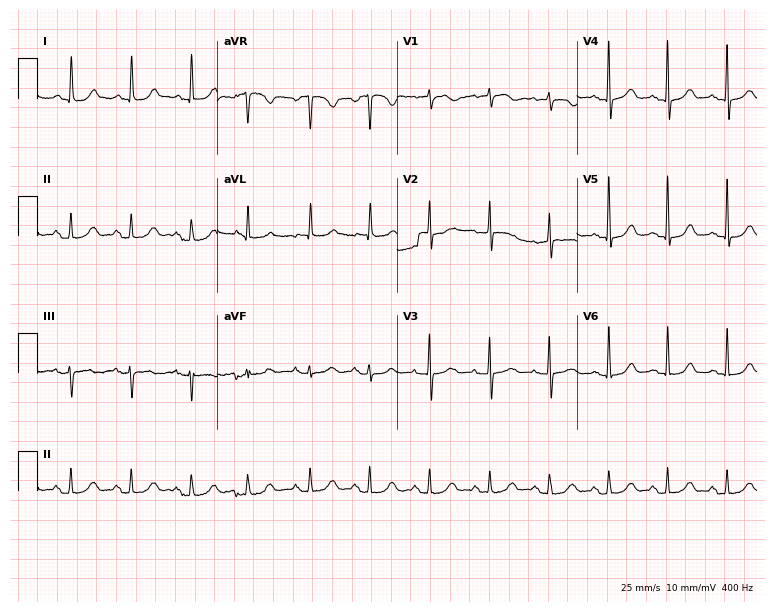
Electrocardiogram, a woman, 83 years old. Of the six screened findings (first-degree AV block, right bundle branch block, left bundle branch block, sinus bradycardia, atrial fibrillation, sinus tachycardia), none is recorded. Findings outside these six are not listed.